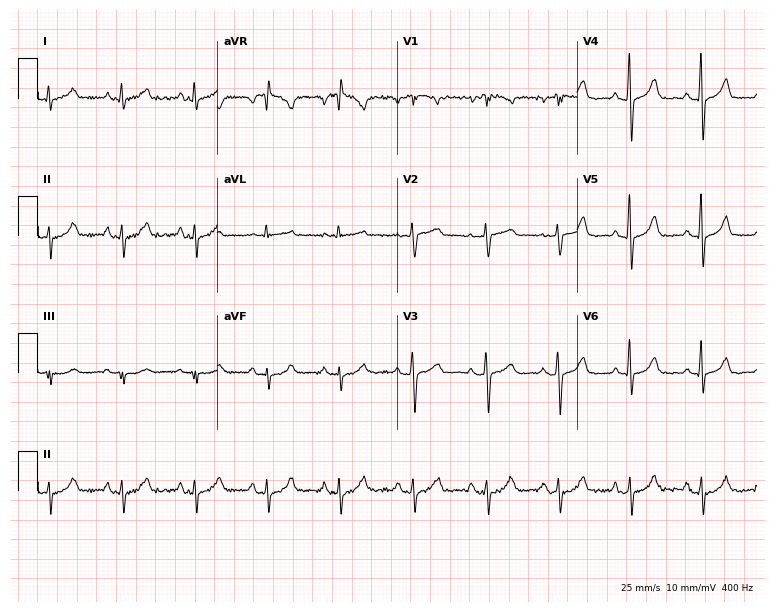
12-lead ECG (7.3-second recording at 400 Hz) from a female patient, 53 years old. Labelled as a normal ECG.